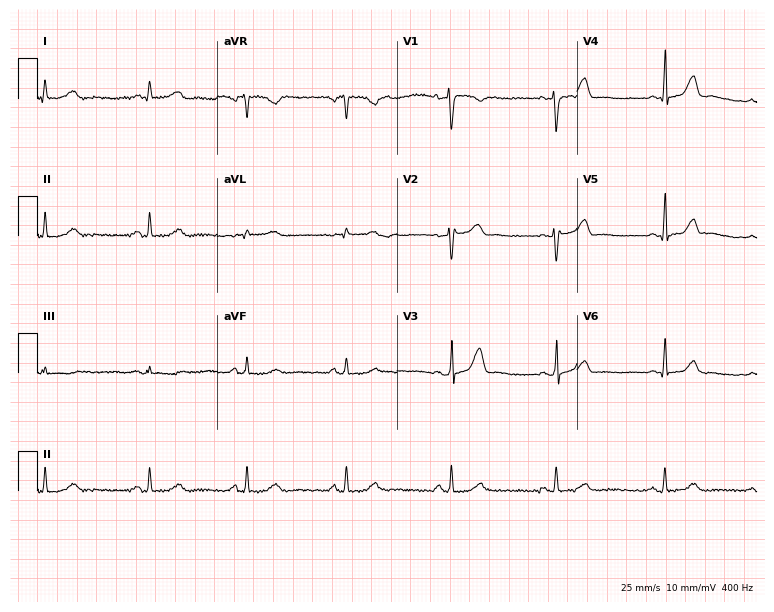
Resting 12-lead electrocardiogram. Patient: a woman, 46 years old. None of these six findings is recorded: first-degree AV block, right bundle branch block (RBBB), left bundle branch block (LBBB), sinus bradycardia, atrial fibrillation (AF), sinus tachycardia.